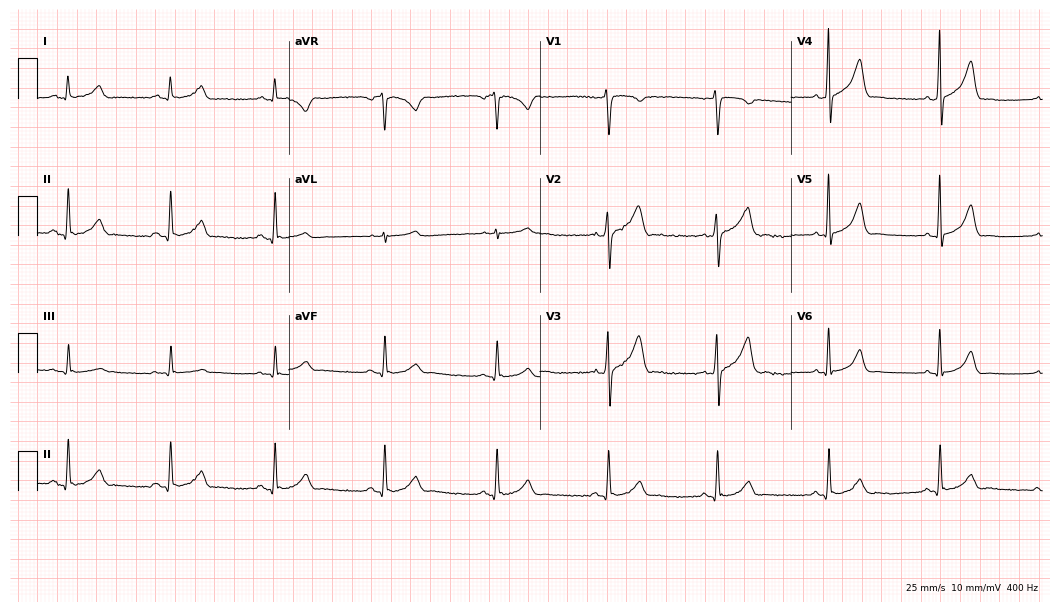
Electrocardiogram (10.2-second recording at 400 Hz), a male, 46 years old. Overall reading on record: normal ECG.